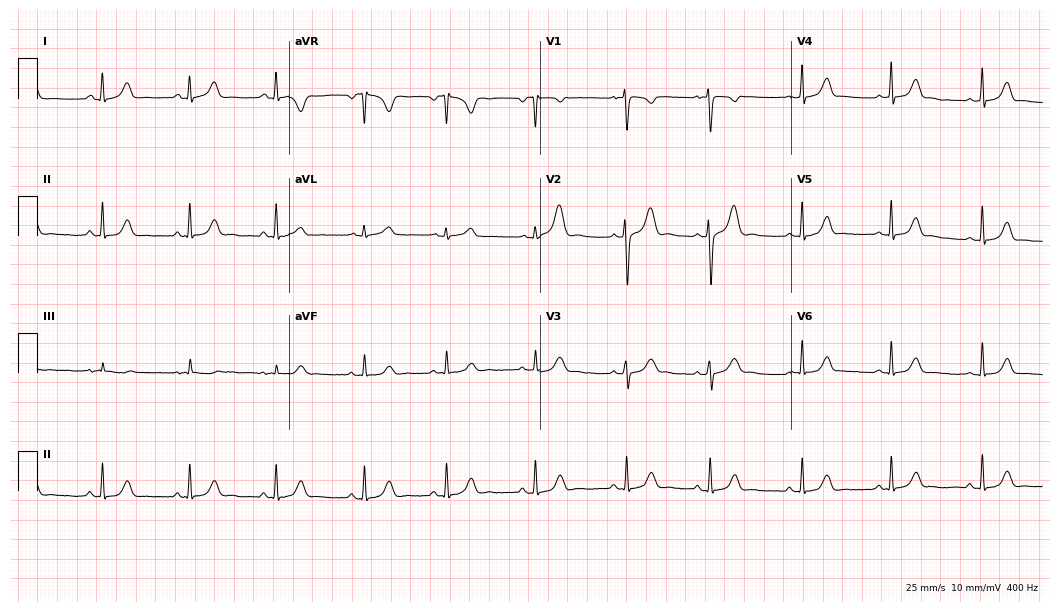
12-lead ECG (10.2-second recording at 400 Hz) from a female, 20 years old. Labelled as a normal ECG.